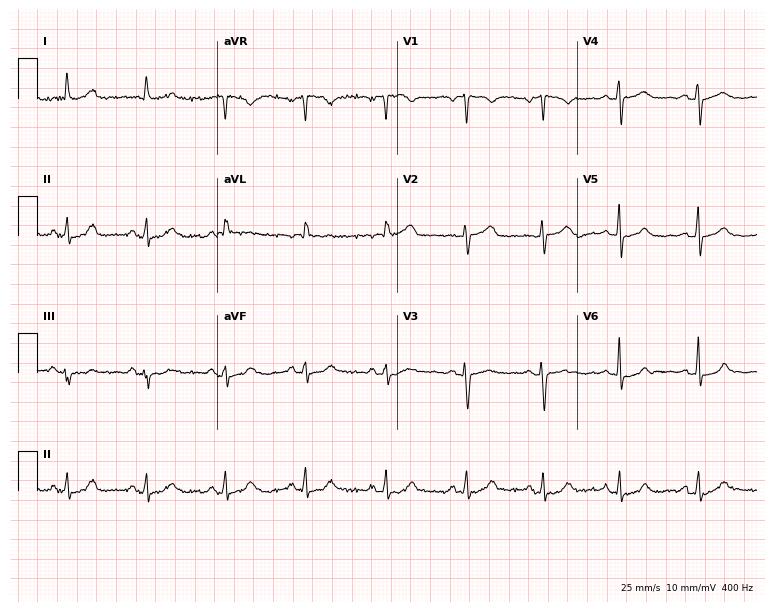
Electrocardiogram (7.3-second recording at 400 Hz), a 76-year-old woman. Of the six screened findings (first-degree AV block, right bundle branch block, left bundle branch block, sinus bradycardia, atrial fibrillation, sinus tachycardia), none is recorded.